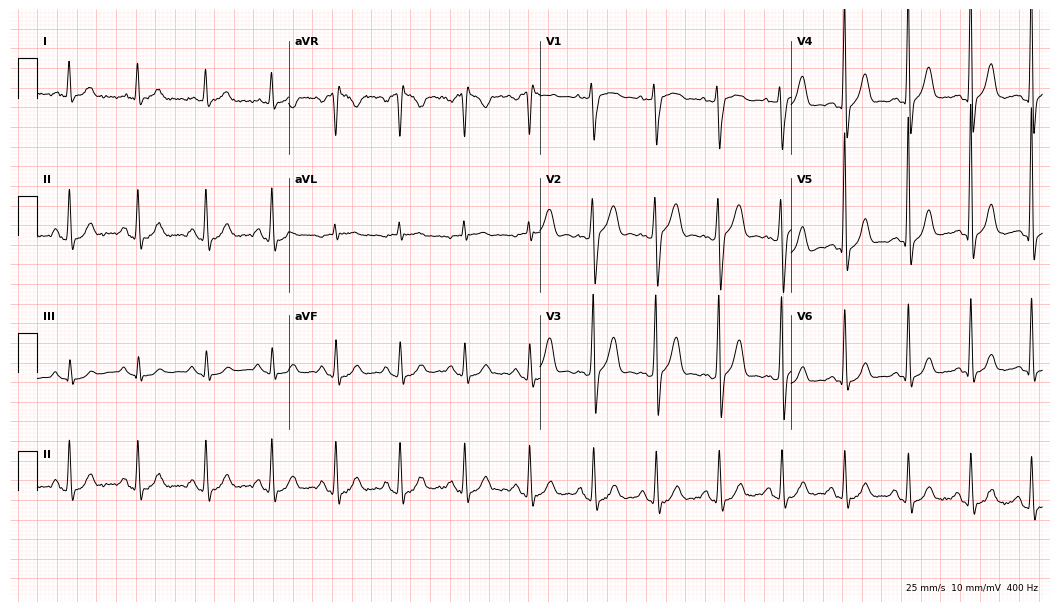
ECG — a 27-year-old male. Screened for six findings — first-degree AV block, right bundle branch block, left bundle branch block, sinus bradycardia, atrial fibrillation, sinus tachycardia — none is recorded. Findings outside these six are not listed.